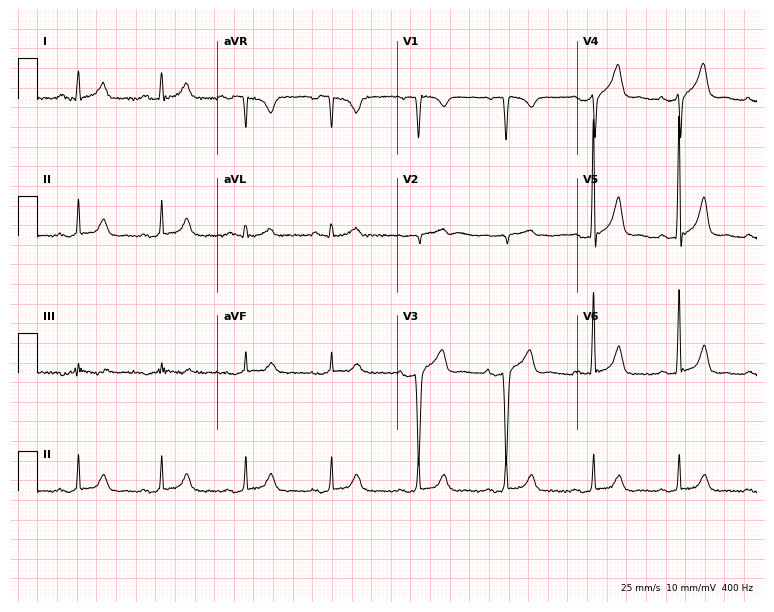
Standard 12-lead ECG recorded from a man, 60 years old. Read as a normal ECG.